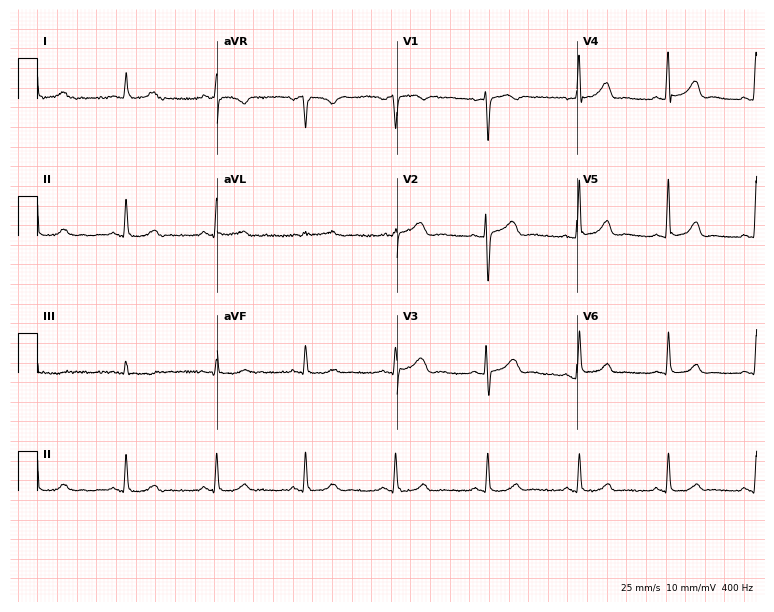
12-lead ECG from a 47-year-old female patient (7.3-second recording at 400 Hz). Recorded interpretation: within normal limits.